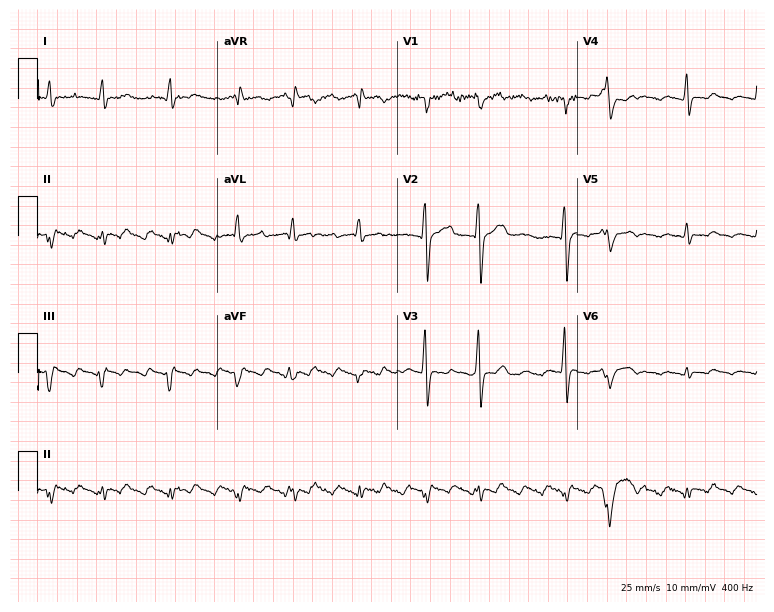
12-lead ECG from a 58-year-old man. No first-degree AV block, right bundle branch block (RBBB), left bundle branch block (LBBB), sinus bradycardia, atrial fibrillation (AF) or sinus tachycardia recorded for this tracing. Only these six findings were labelled.